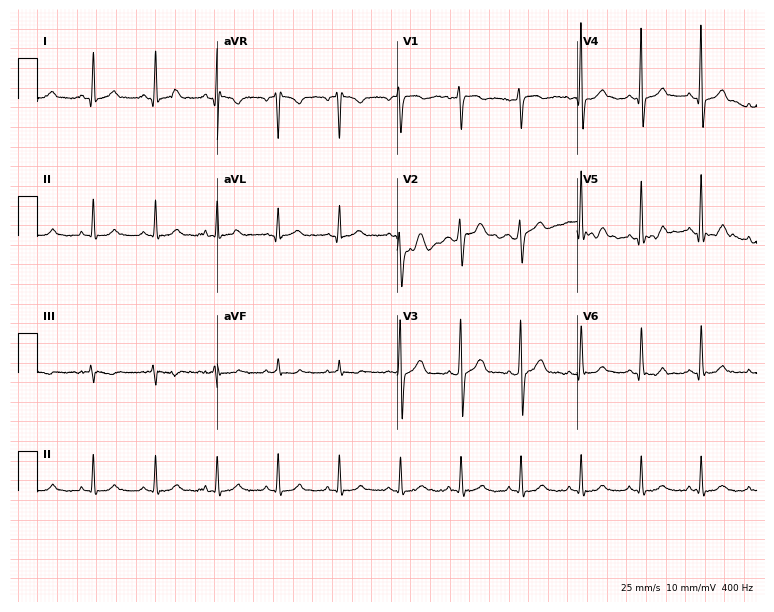
Resting 12-lead electrocardiogram (7.3-second recording at 400 Hz). Patient: a man, 41 years old. Read as a normal ECG.